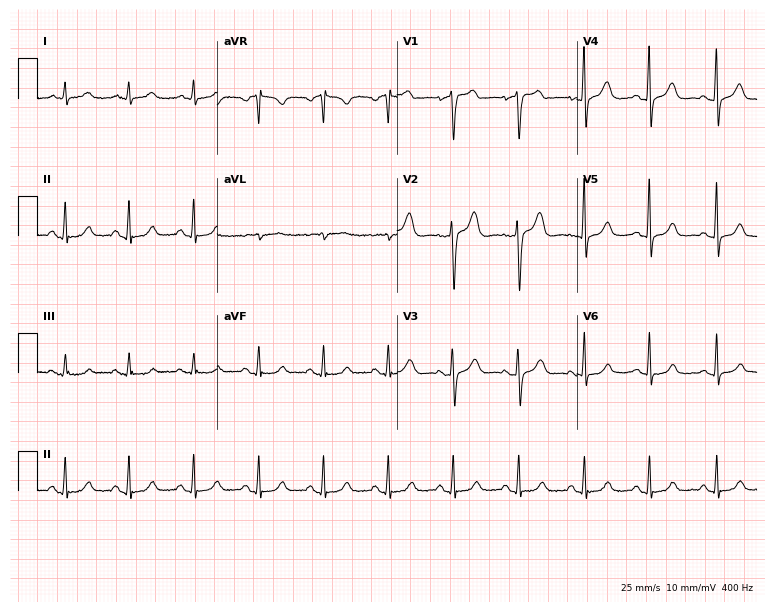
Resting 12-lead electrocardiogram. Patient: a 73-year-old woman. Read as a normal ECG.